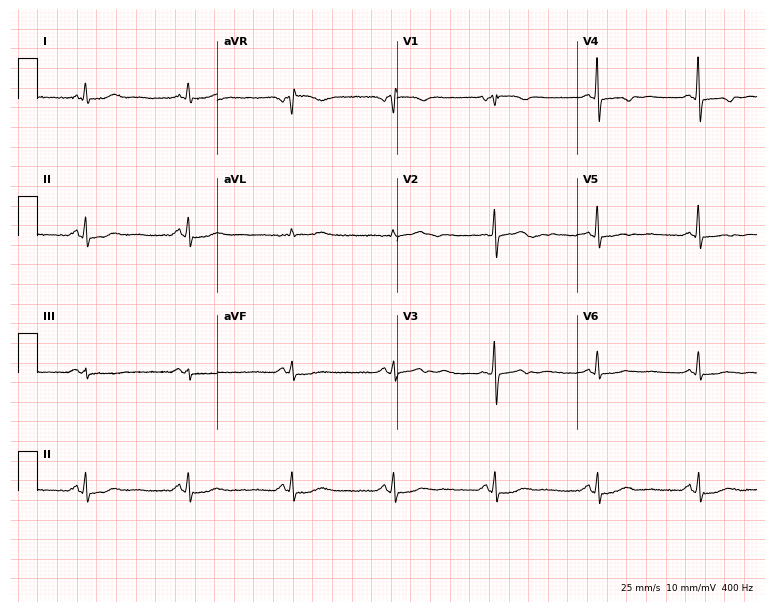
12-lead ECG from a female, 64 years old. Screened for six findings — first-degree AV block, right bundle branch block (RBBB), left bundle branch block (LBBB), sinus bradycardia, atrial fibrillation (AF), sinus tachycardia — none is recorded.